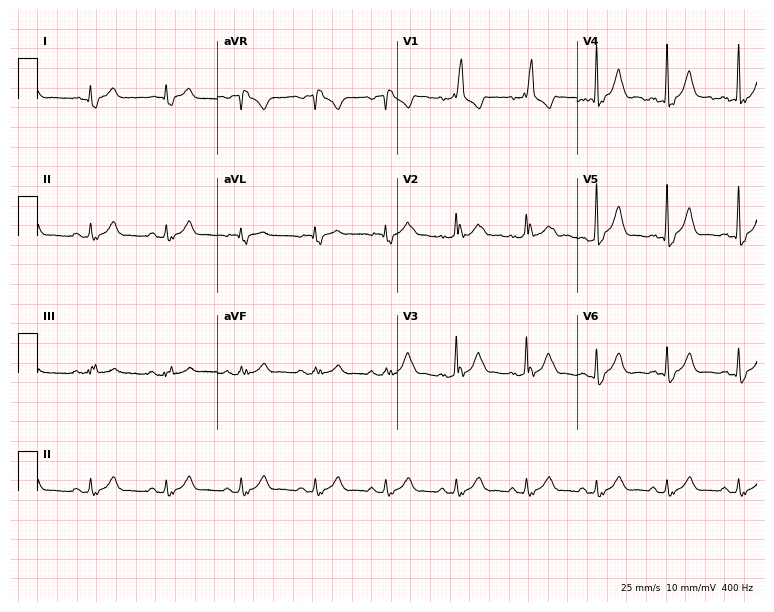
Standard 12-lead ECG recorded from a 70-year-old male patient. The tracing shows right bundle branch block.